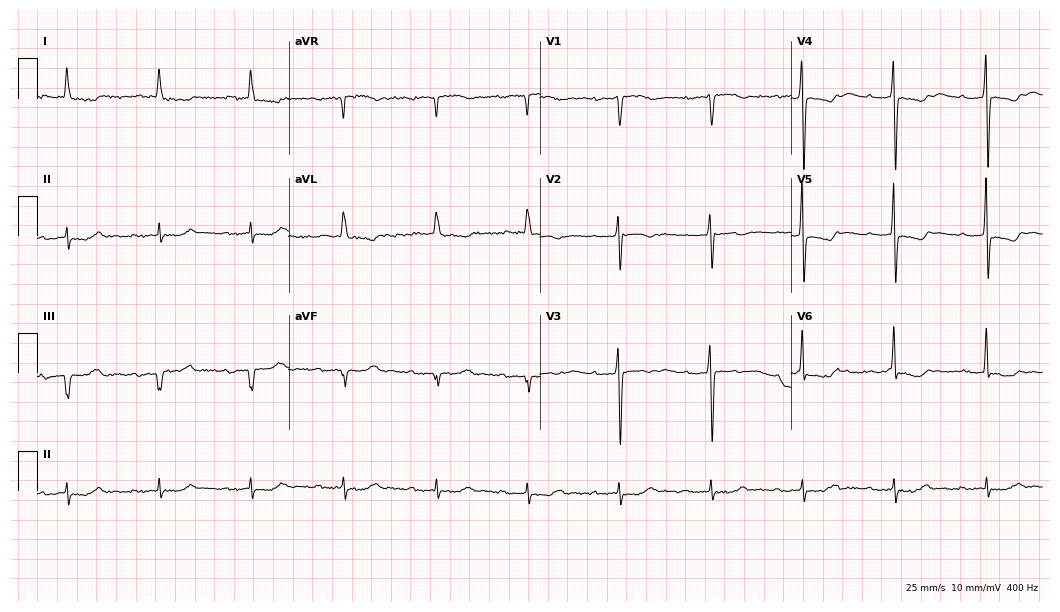
Electrocardiogram (10.2-second recording at 400 Hz), a woman, 80 years old. Of the six screened findings (first-degree AV block, right bundle branch block, left bundle branch block, sinus bradycardia, atrial fibrillation, sinus tachycardia), none is recorded. Findings outside these six are not listed.